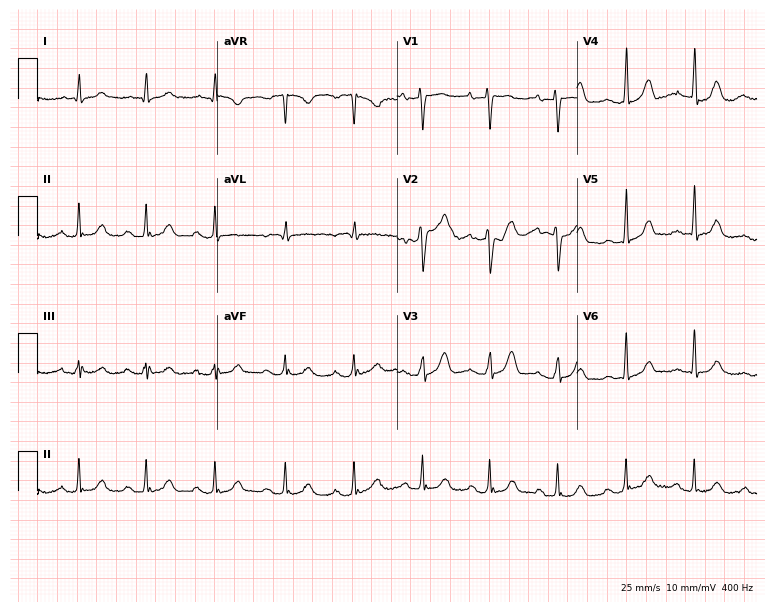
Electrocardiogram (7.3-second recording at 400 Hz), a 73-year-old male patient. Overall reading on record: normal ECG.